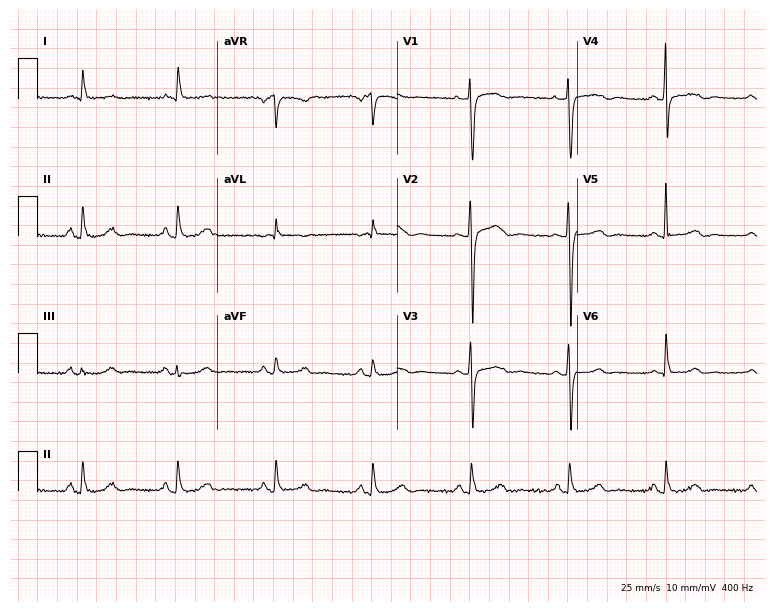
ECG — a female patient, 73 years old. Screened for six findings — first-degree AV block, right bundle branch block (RBBB), left bundle branch block (LBBB), sinus bradycardia, atrial fibrillation (AF), sinus tachycardia — none is recorded.